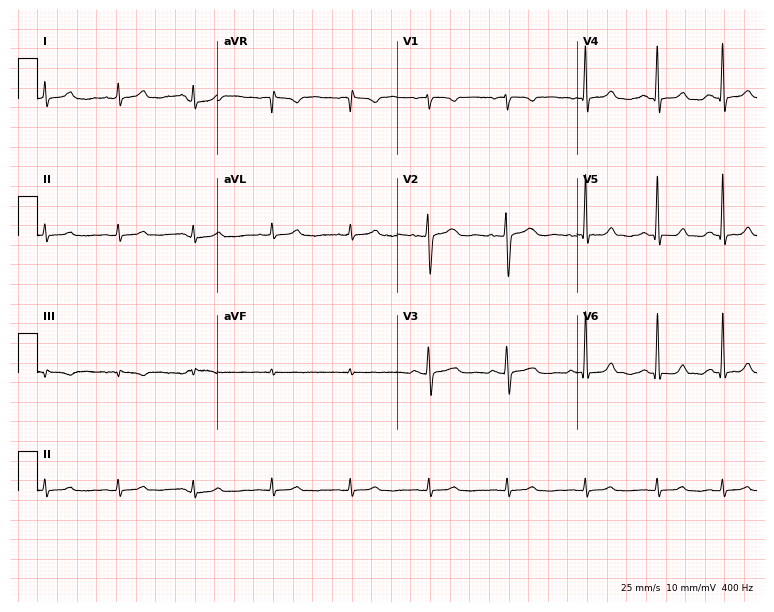
Electrocardiogram (7.3-second recording at 400 Hz), a woman, 42 years old. Overall reading on record: normal ECG.